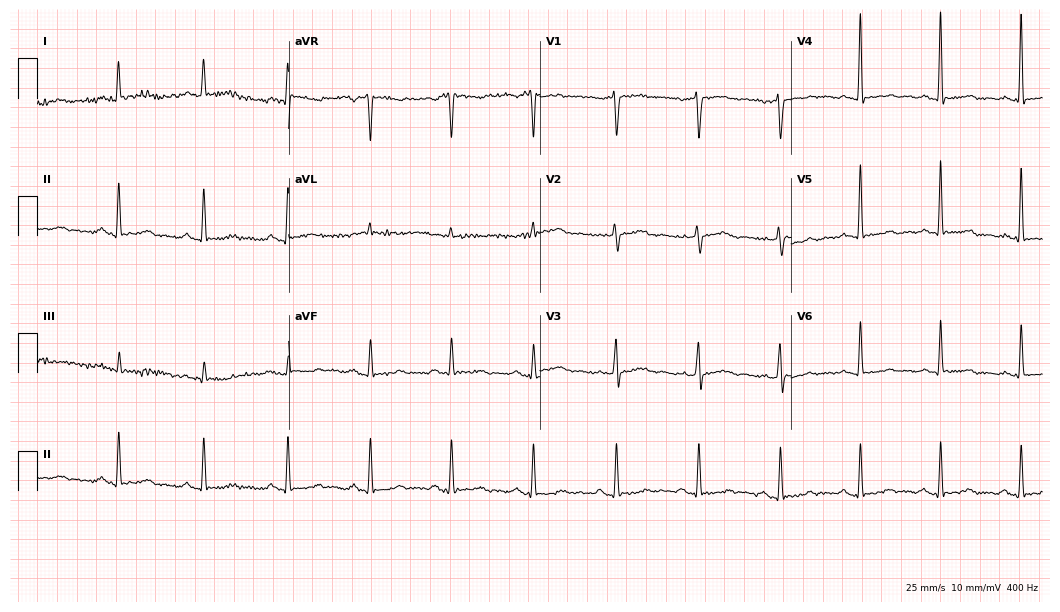
12-lead ECG from a woman, 56 years old (10.2-second recording at 400 Hz). No first-degree AV block, right bundle branch block (RBBB), left bundle branch block (LBBB), sinus bradycardia, atrial fibrillation (AF) or sinus tachycardia recorded for this tracing. Findings outside these six are not listed.